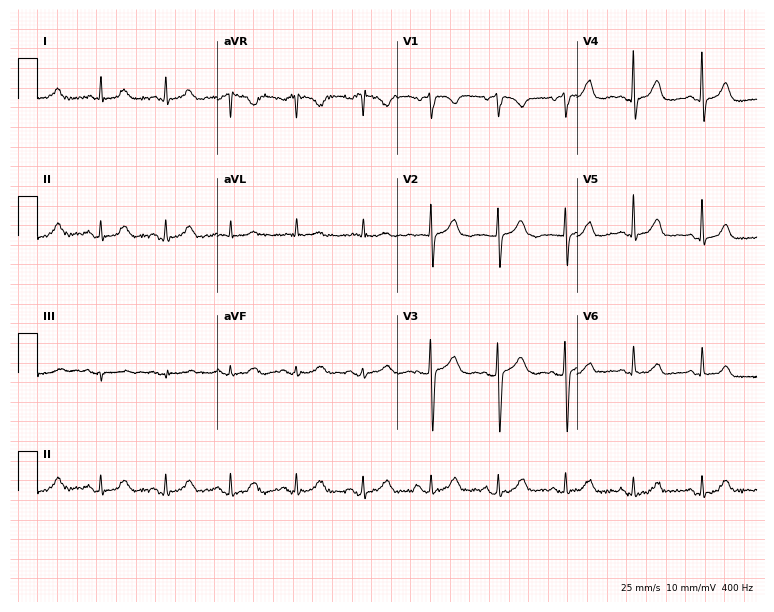
12-lead ECG from an 80-year-old female patient. Labelled as a normal ECG.